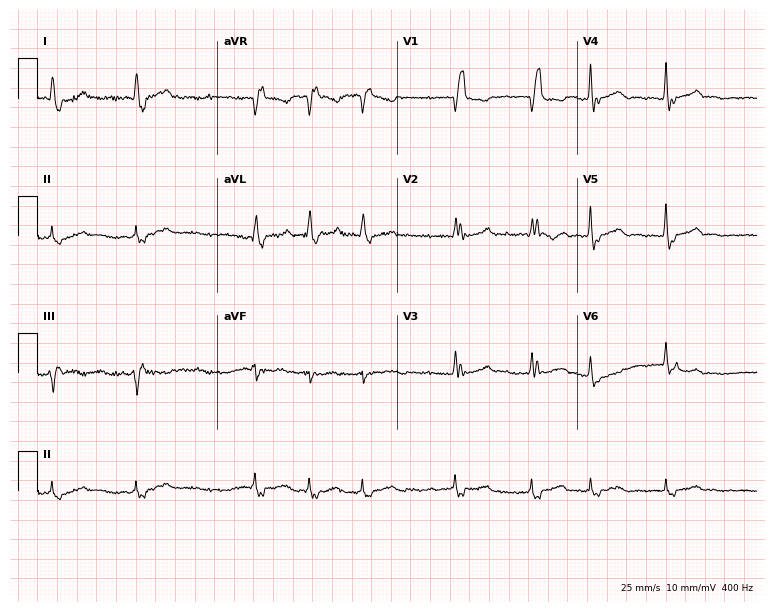
ECG (7.3-second recording at 400 Hz) — a female patient, 72 years old. Findings include right bundle branch block (RBBB), atrial fibrillation (AF).